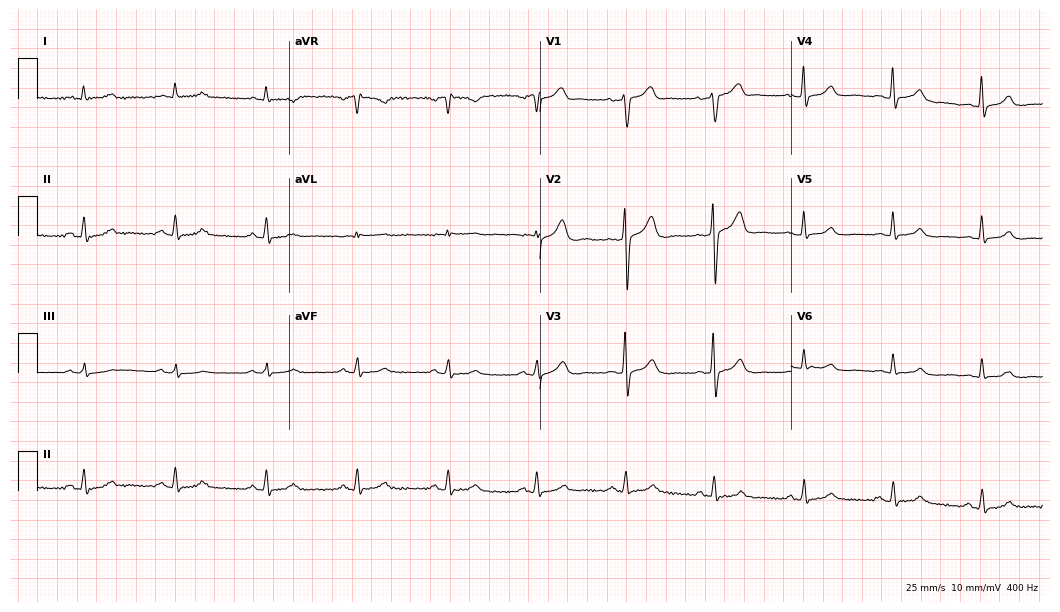
12-lead ECG from a male, 47 years old. Labelled as a normal ECG.